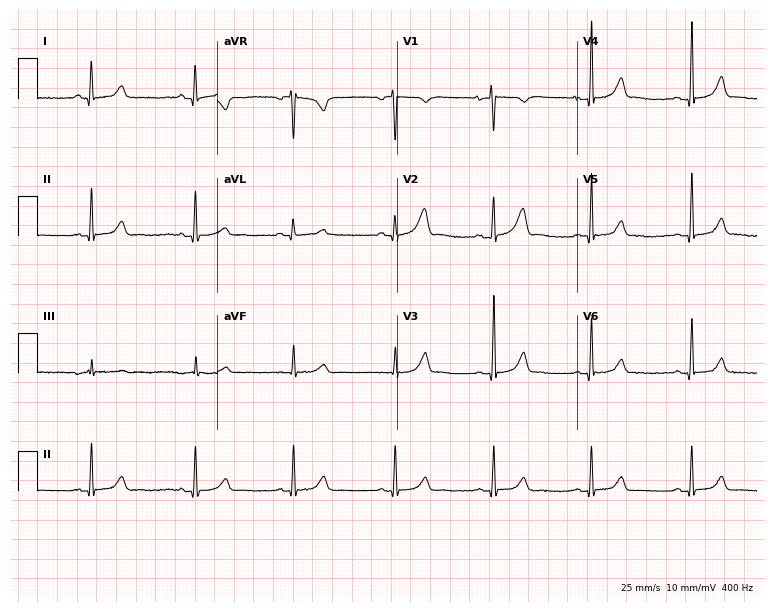
12-lead ECG from a 29-year-old woman. Recorded interpretation: within normal limits.